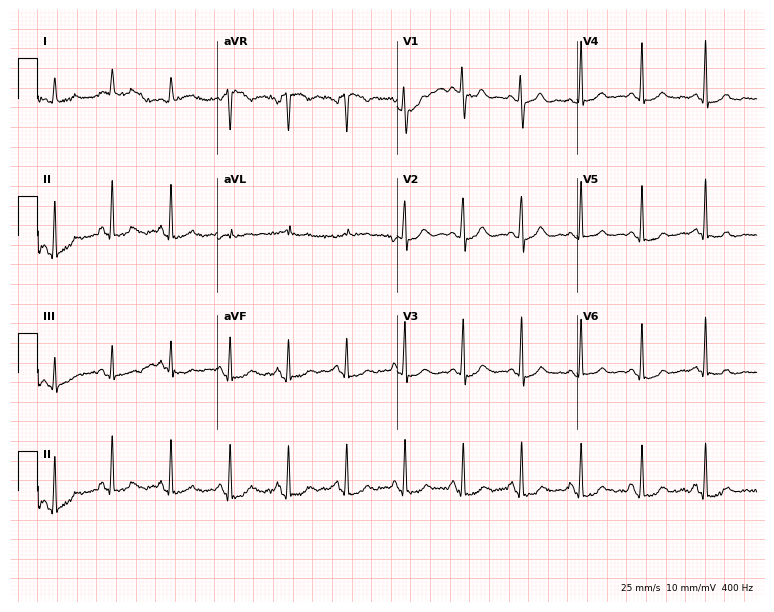
Resting 12-lead electrocardiogram. Patient: a female, 43 years old. Read as a normal ECG.